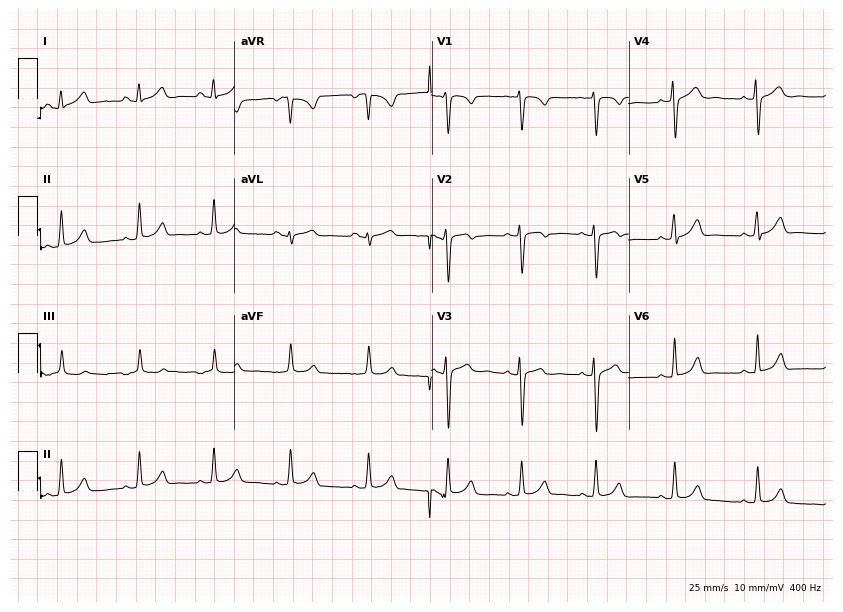
Resting 12-lead electrocardiogram (8-second recording at 400 Hz). Patient: a woman, 24 years old. None of these six findings is recorded: first-degree AV block, right bundle branch block, left bundle branch block, sinus bradycardia, atrial fibrillation, sinus tachycardia. Findings outside these six are not listed.